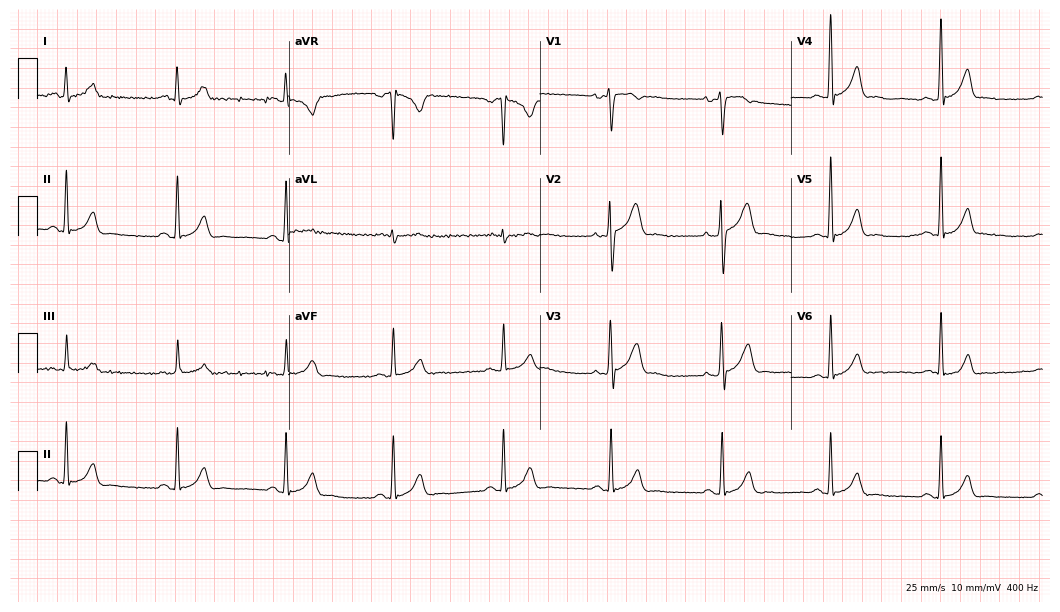
12-lead ECG from a male, 39 years old. Labelled as a normal ECG.